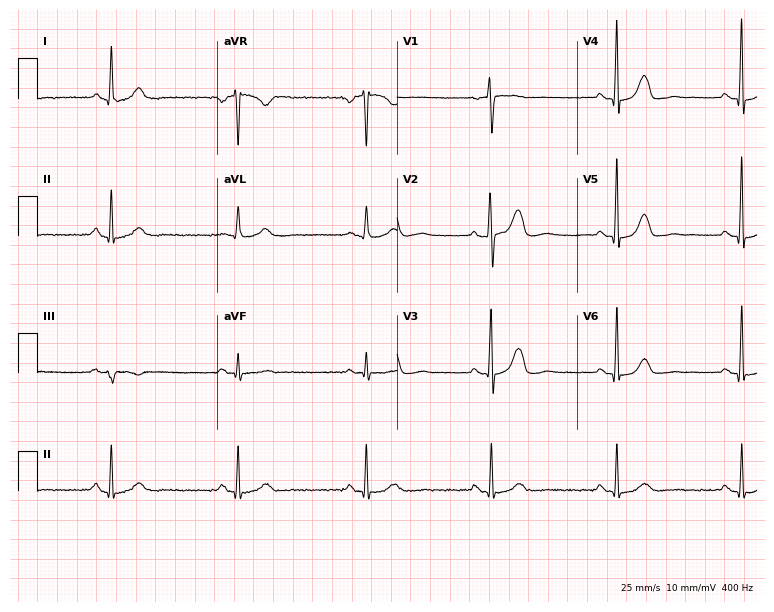
12-lead ECG from a 52-year-old woman. Shows sinus bradycardia (a sinus rate of 50 beats per minute or less).